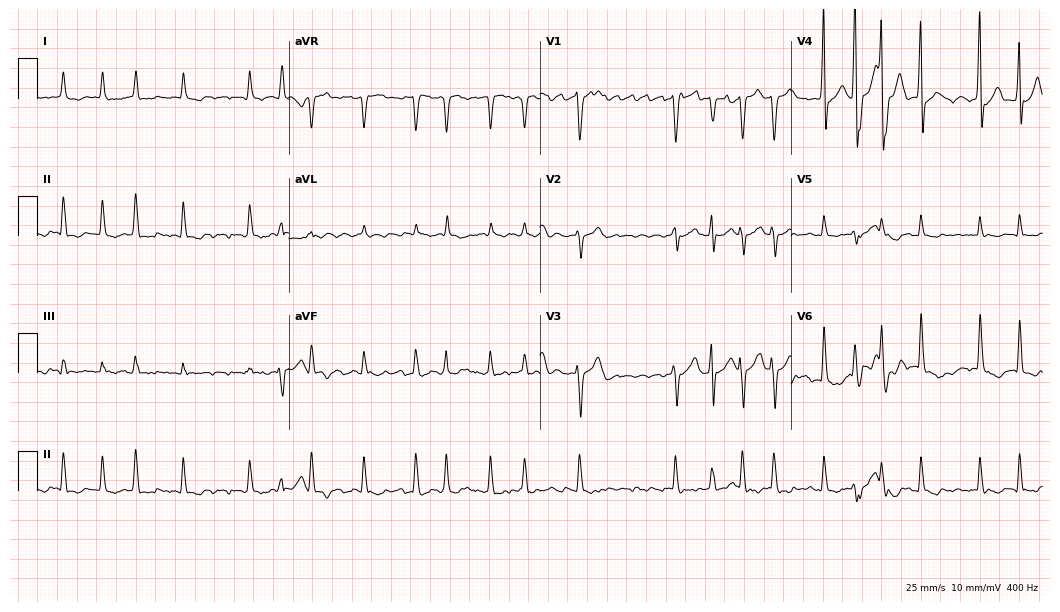
Electrocardiogram, a 58-year-old man. Interpretation includes atrial fibrillation (AF).